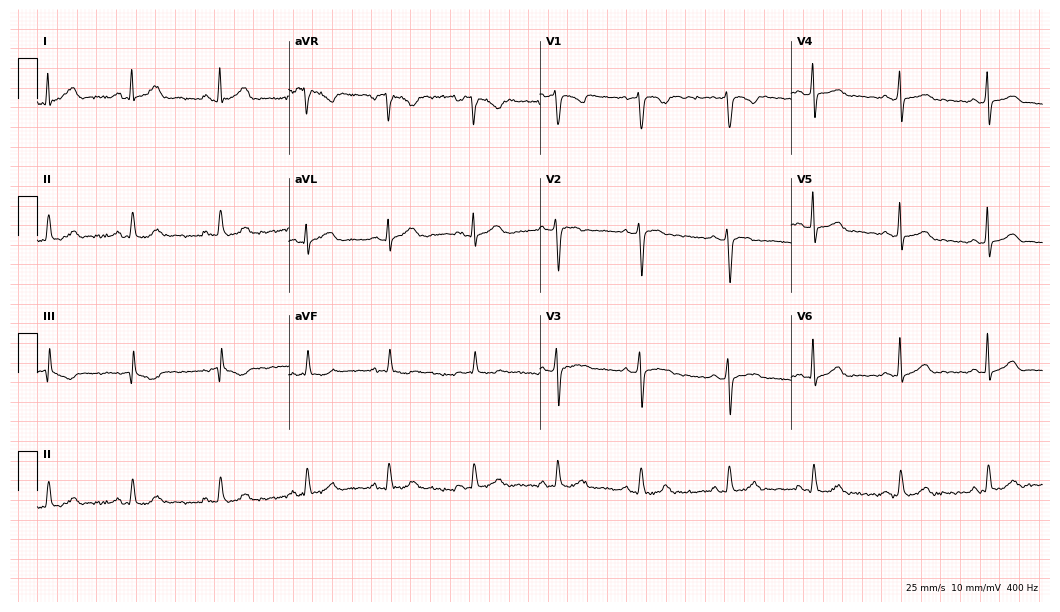
Resting 12-lead electrocardiogram. Patient: a female, 28 years old. Read as a normal ECG.